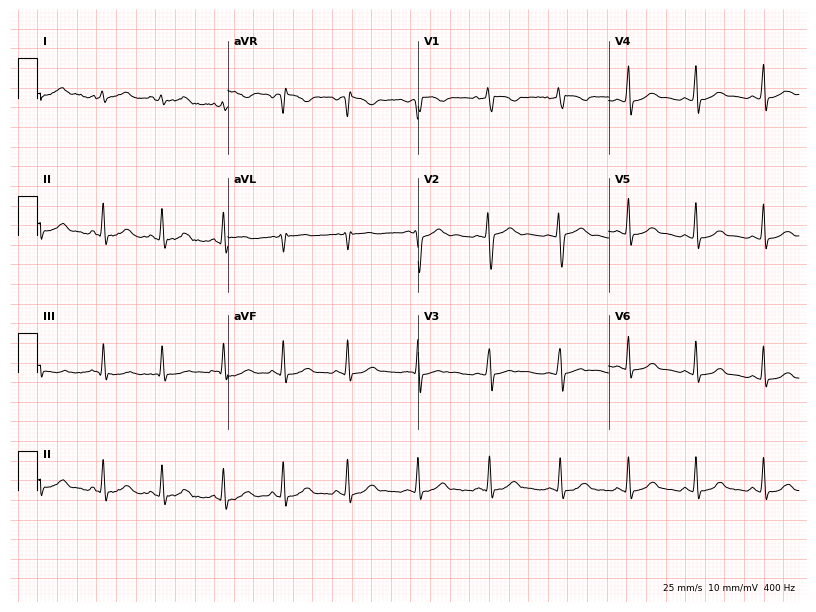
12-lead ECG from a female patient, 26 years old. No first-degree AV block, right bundle branch block, left bundle branch block, sinus bradycardia, atrial fibrillation or sinus tachycardia recorded for this tracing.